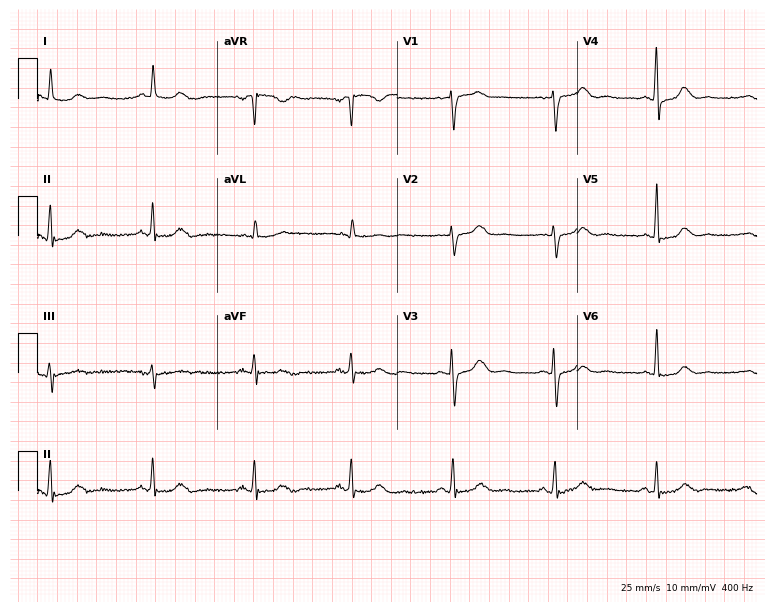
Resting 12-lead electrocardiogram (7.3-second recording at 400 Hz). Patient: a 62-year-old female. None of these six findings is recorded: first-degree AV block, right bundle branch block, left bundle branch block, sinus bradycardia, atrial fibrillation, sinus tachycardia.